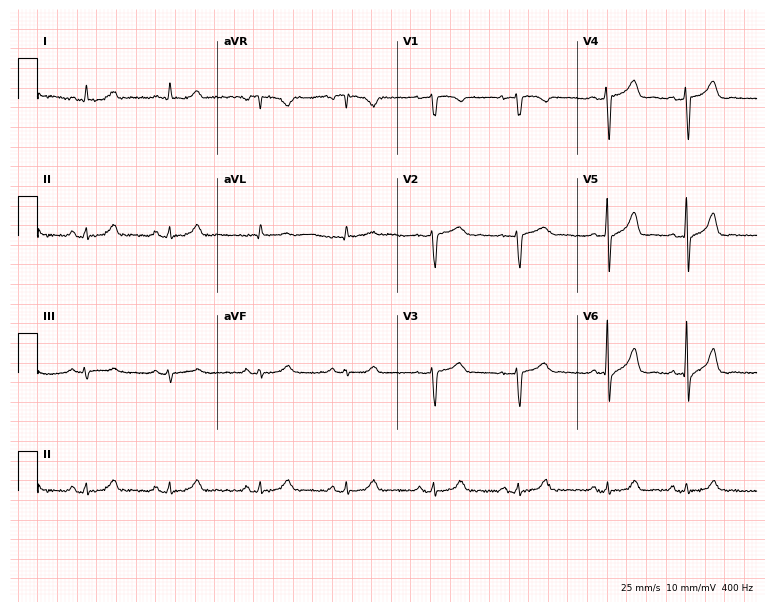
Resting 12-lead electrocardiogram (7.3-second recording at 400 Hz). Patient: a male, 64 years old. None of these six findings is recorded: first-degree AV block, right bundle branch block, left bundle branch block, sinus bradycardia, atrial fibrillation, sinus tachycardia.